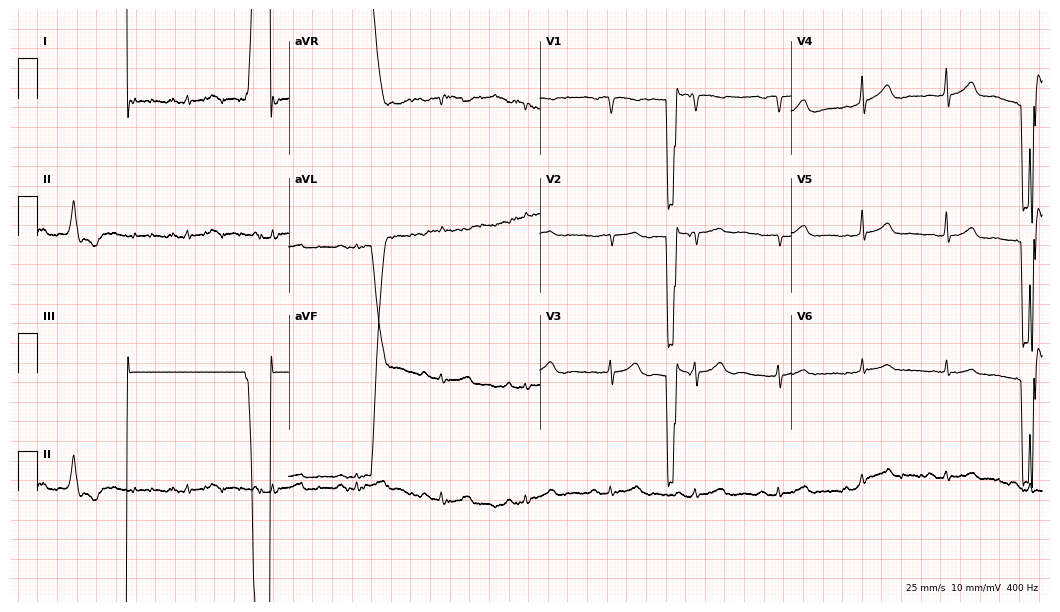
12-lead ECG from an 85-year-old male patient. Screened for six findings — first-degree AV block, right bundle branch block, left bundle branch block, sinus bradycardia, atrial fibrillation, sinus tachycardia — none is recorded. Only these six findings were labelled.